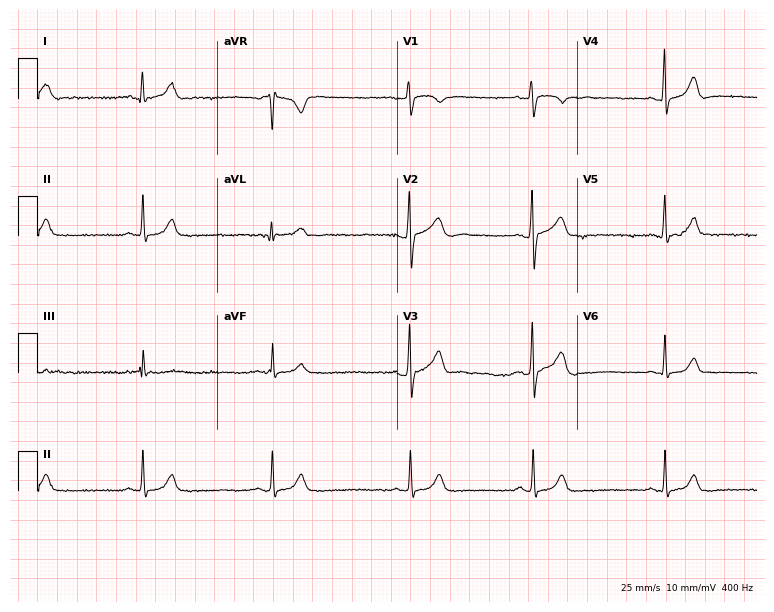
Resting 12-lead electrocardiogram. Patient: a female, 50 years old. The tracing shows sinus bradycardia (a sinus rate of 50 beats per minute or less).